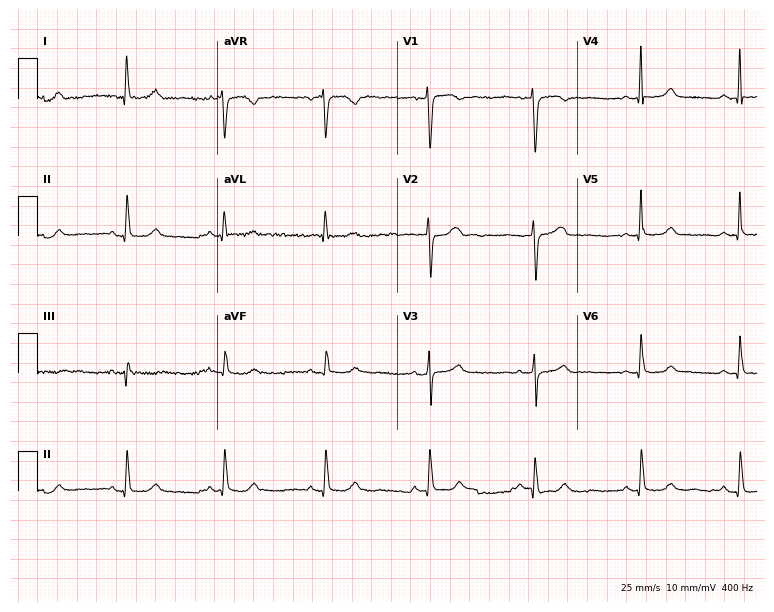
ECG (7.3-second recording at 400 Hz) — a 65-year-old female patient. Screened for six findings — first-degree AV block, right bundle branch block (RBBB), left bundle branch block (LBBB), sinus bradycardia, atrial fibrillation (AF), sinus tachycardia — none is recorded. Findings outside these six are not listed.